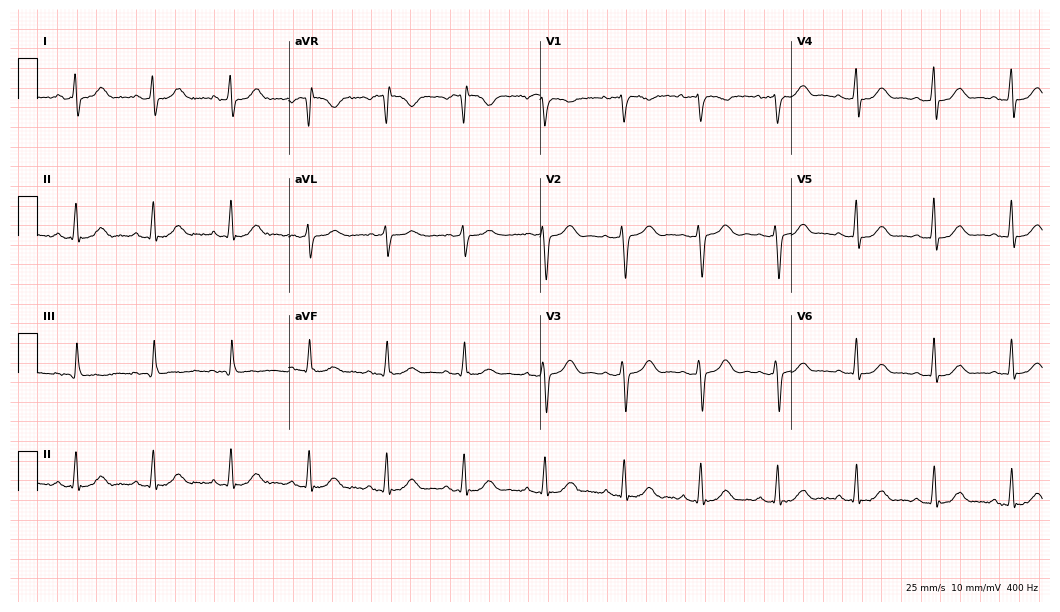
12-lead ECG from a 48-year-old woman. Recorded interpretation: within normal limits.